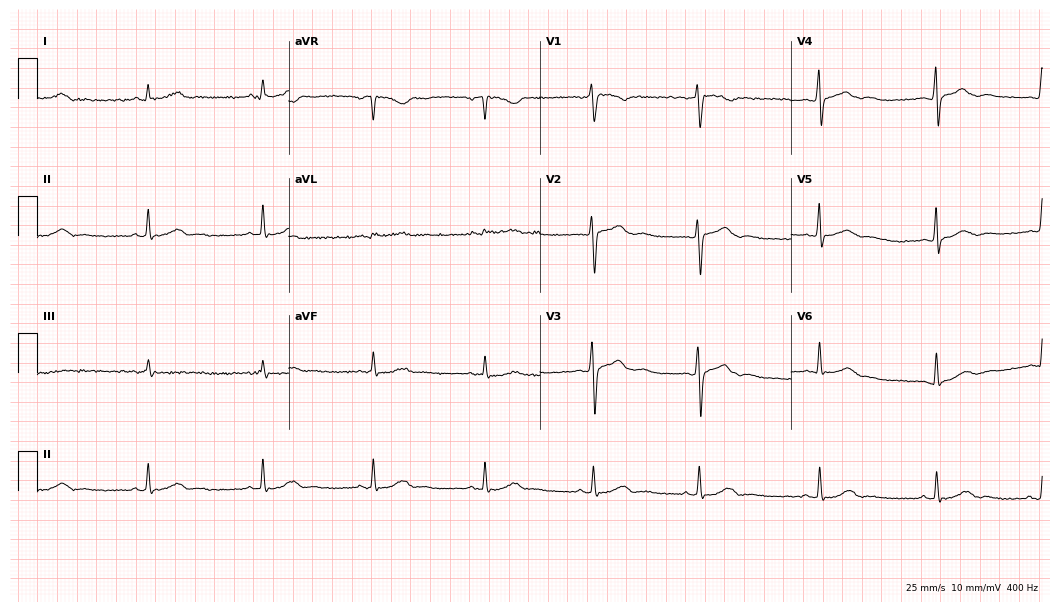
ECG — a 43-year-old woman. Labelled as a normal ECG.